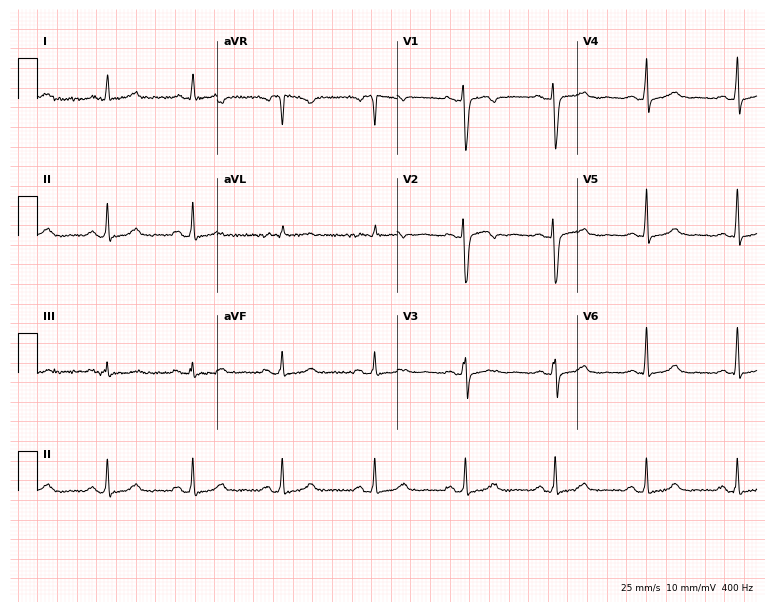
12-lead ECG (7.3-second recording at 400 Hz) from a 47-year-old woman. Screened for six findings — first-degree AV block, right bundle branch block (RBBB), left bundle branch block (LBBB), sinus bradycardia, atrial fibrillation (AF), sinus tachycardia — none is recorded.